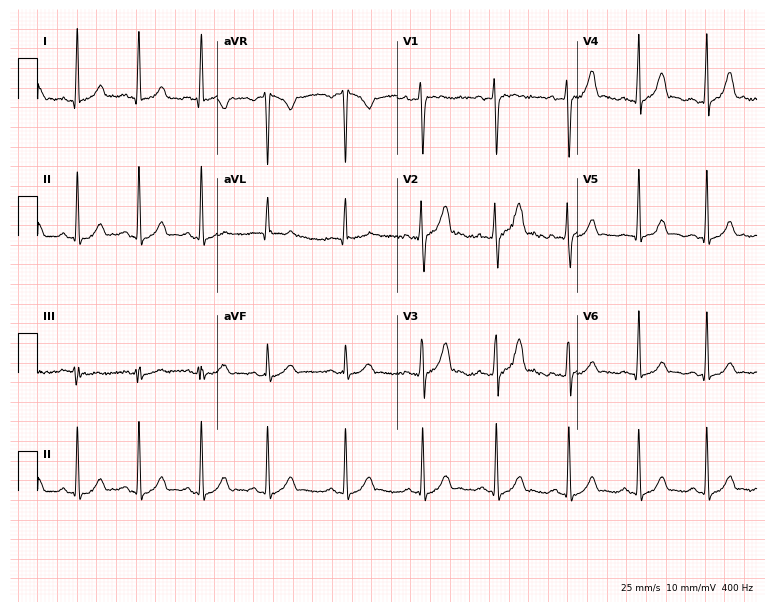
12-lead ECG from a female, 26 years old. No first-degree AV block, right bundle branch block, left bundle branch block, sinus bradycardia, atrial fibrillation or sinus tachycardia recorded for this tracing. Other findings, if any, are not listed.